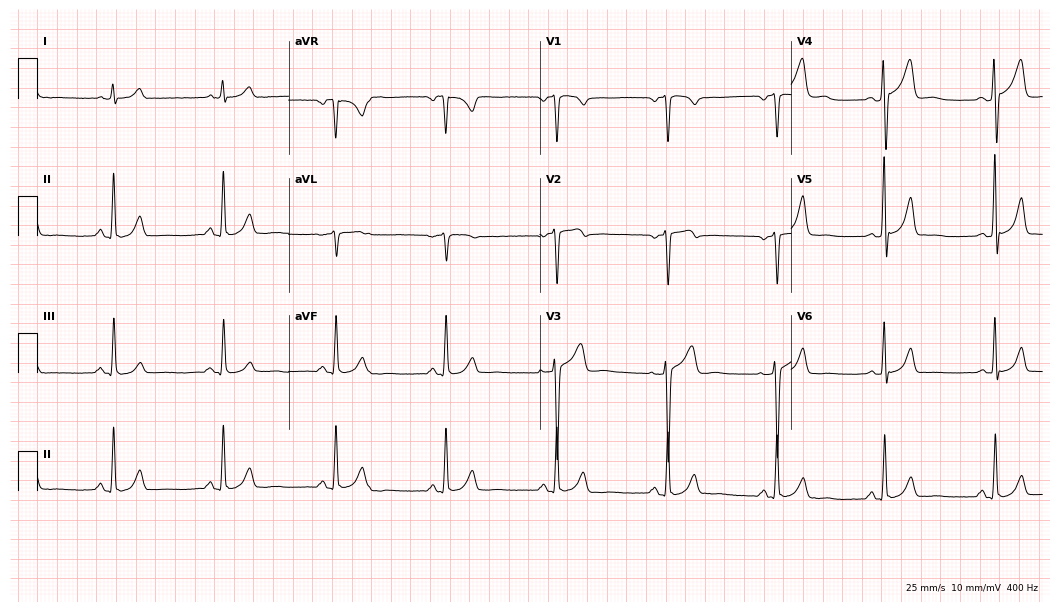
Resting 12-lead electrocardiogram. Patient: a male, 54 years old. None of these six findings is recorded: first-degree AV block, right bundle branch block (RBBB), left bundle branch block (LBBB), sinus bradycardia, atrial fibrillation (AF), sinus tachycardia. Only these six findings were labelled.